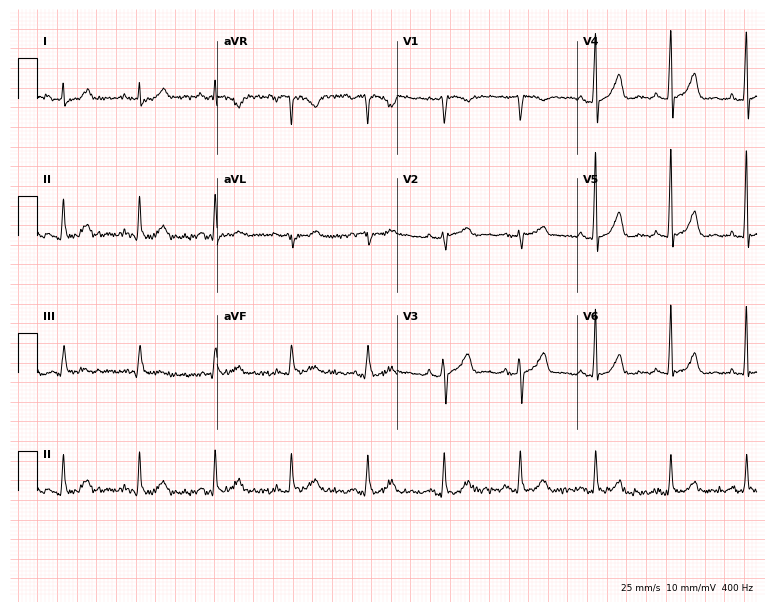
ECG — a 60-year-old man. Labelled as a normal ECG.